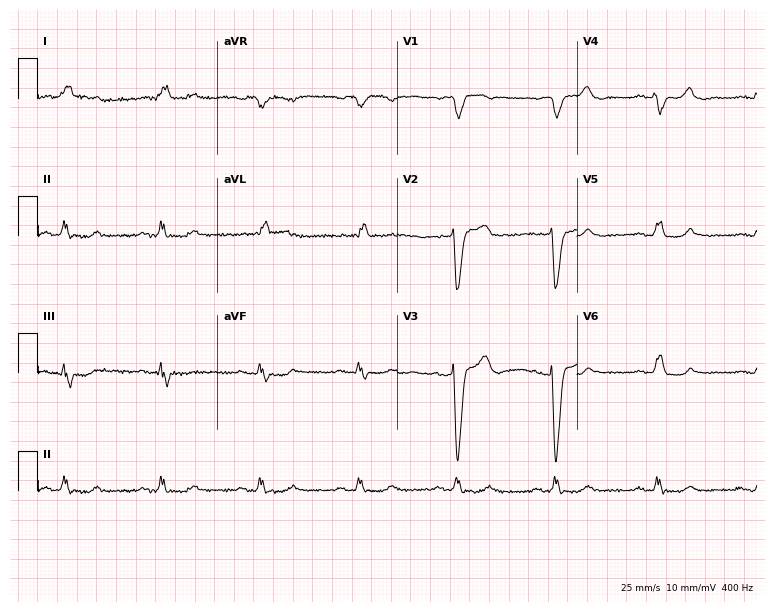
Electrocardiogram, a 78-year-old female patient. Interpretation includes left bundle branch block.